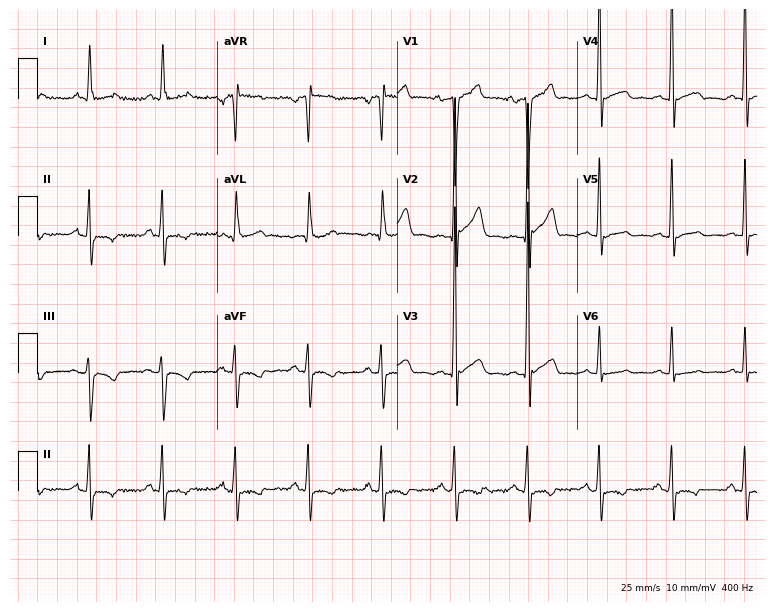
12-lead ECG from a 79-year-old male (7.3-second recording at 400 Hz). No first-degree AV block, right bundle branch block, left bundle branch block, sinus bradycardia, atrial fibrillation or sinus tachycardia recorded for this tracing. Findings outside these six are not listed.